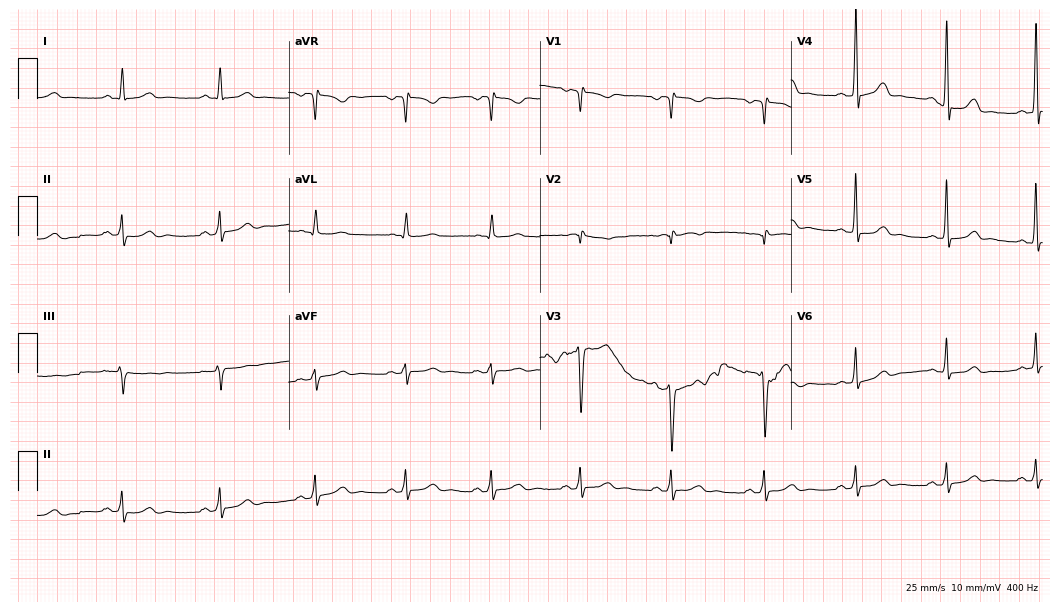
ECG (10.2-second recording at 400 Hz) — a man, 26 years old. Screened for six findings — first-degree AV block, right bundle branch block (RBBB), left bundle branch block (LBBB), sinus bradycardia, atrial fibrillation (AF), sinus tachycardia — none is recorded.